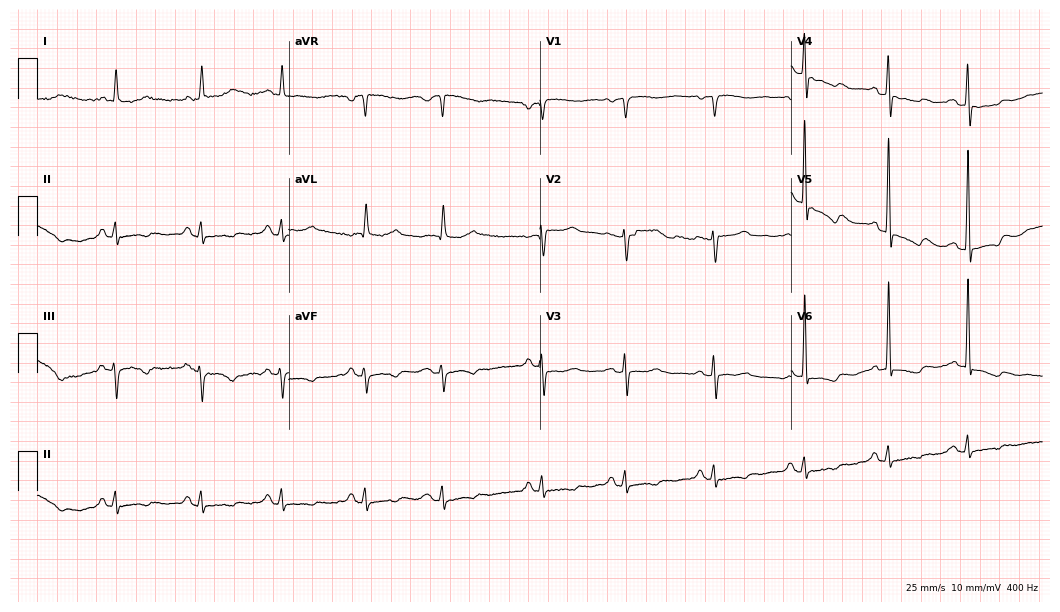
ECG (10.2-second recording at 400 Hz) — a 78-year-old female. Screened for six findings — first-degree AV block, right bundle branch block, left bundle branch block, sinus bradycardia, atrial fibrillation, sinus tachycardia — none is recorded.